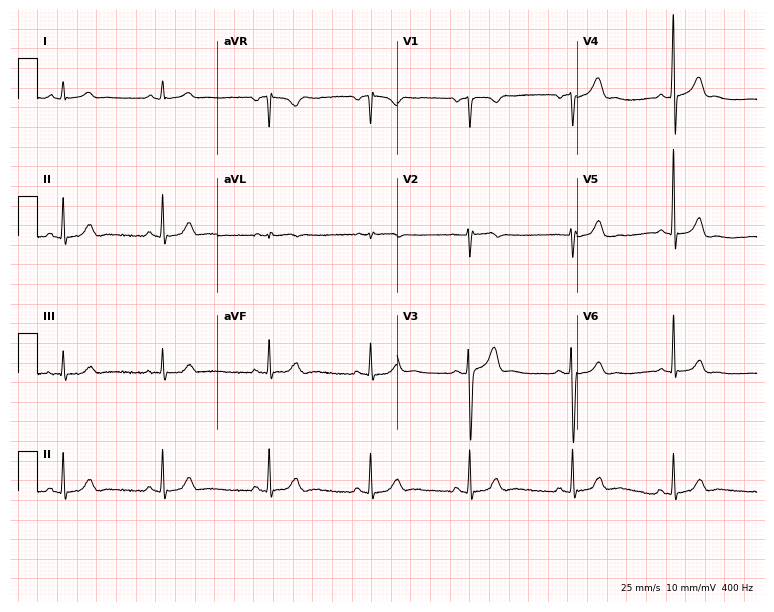
ECG — a 32-year-old male. Labelled as a normal ECG.